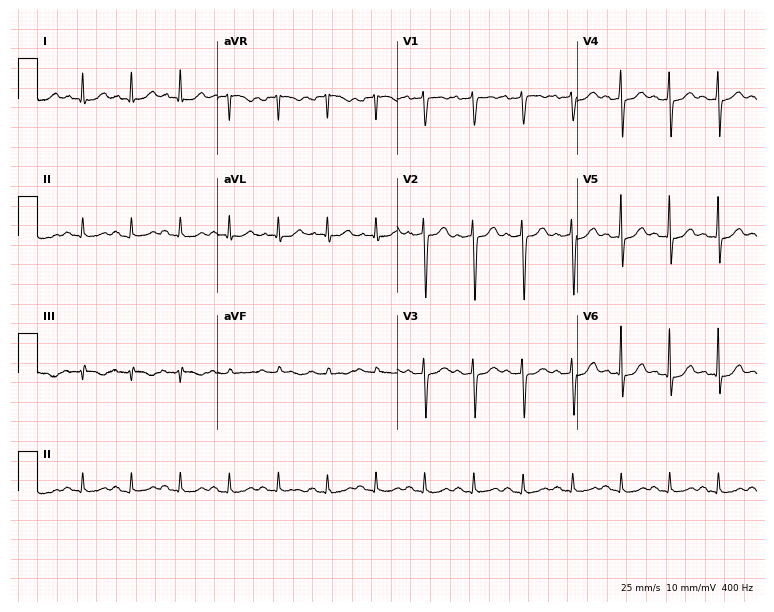
ECG — a 51-year-old male. Findings include sinus tachycardia (a sinus rate of 100 beats per minute or more).